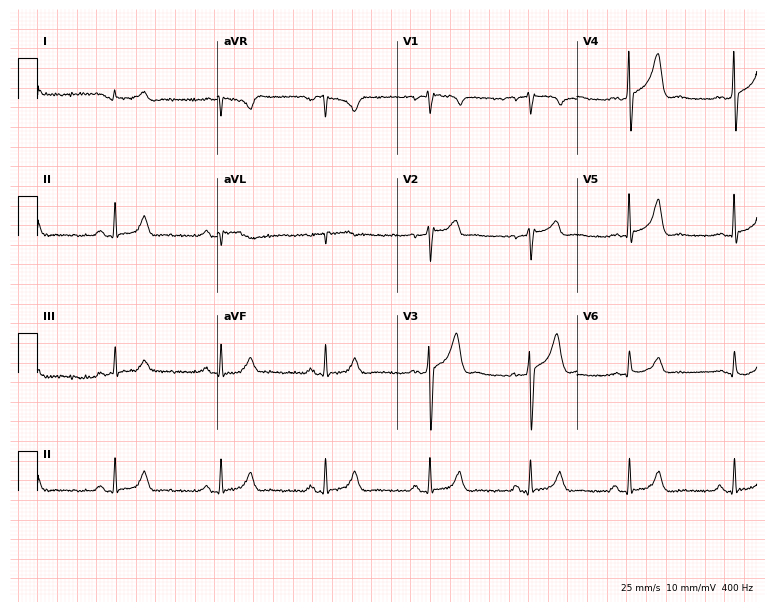
Resting 12-lead electrocardiogram. Patient: a male, 59 years old. Read as a normal ECG.